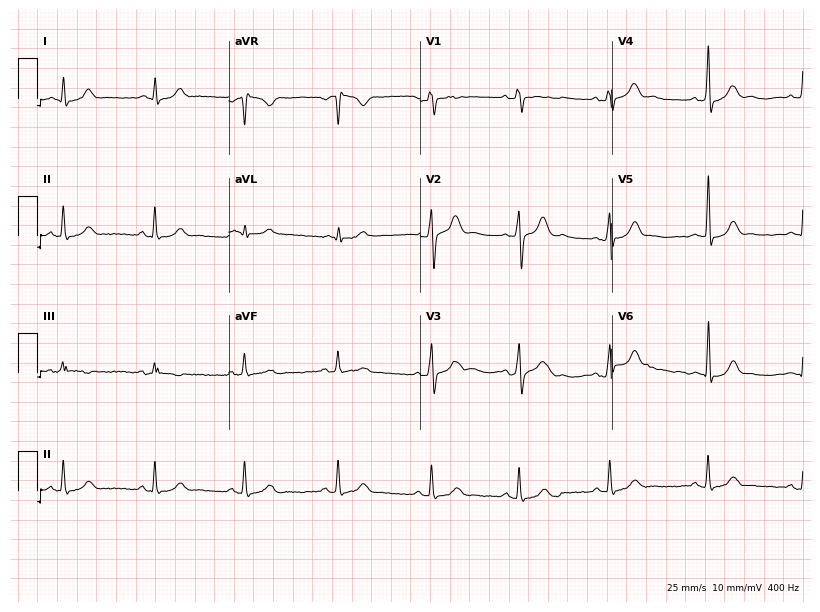
12-lead ECG from a man, 32 years old. Labelled as a normal ECG.